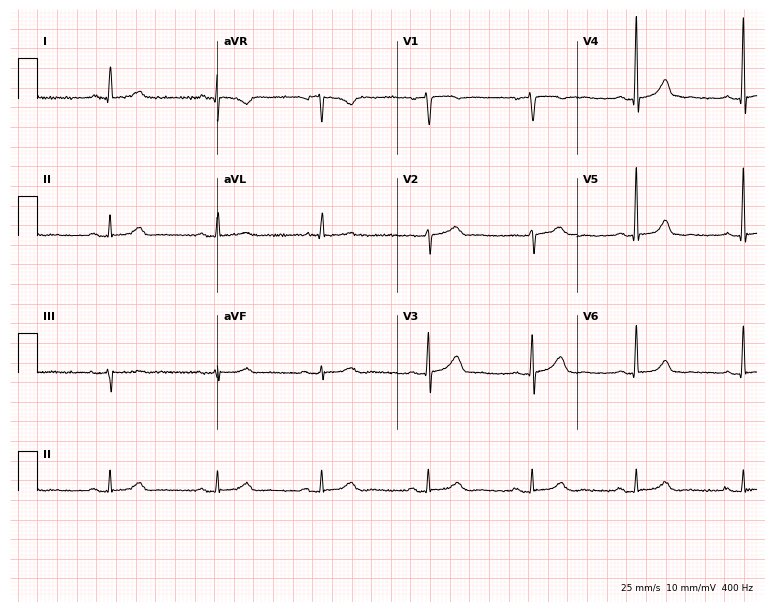
Standard 12-lead ECG recorded from a 66-year-old female (7.3-second recording at 400 Hz). None of these six findings is recorded: first-degree AV block, right bundle branch block, left bundle branch block, sinus bradycardia, atrial fibrillation, sinus tachycardia. Findings outside these six are not listed.